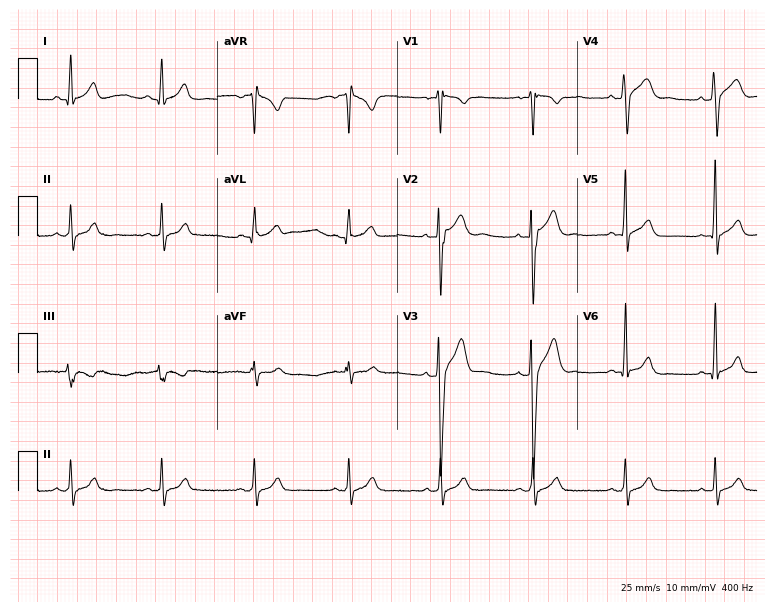
12-lead ECG from a 26-year-old man. Labelled as a normal ECG.